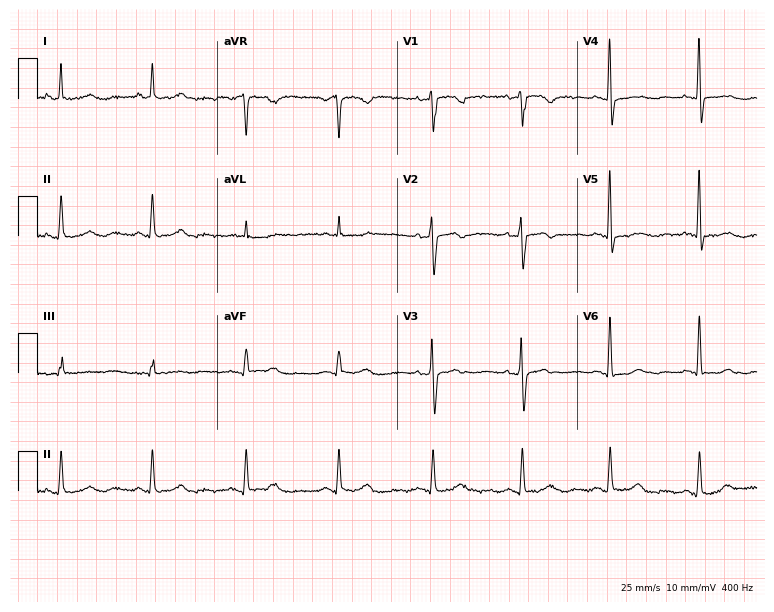
Electrocardiogram, a female, 65 years old. Overall reading on record: normal ECG.